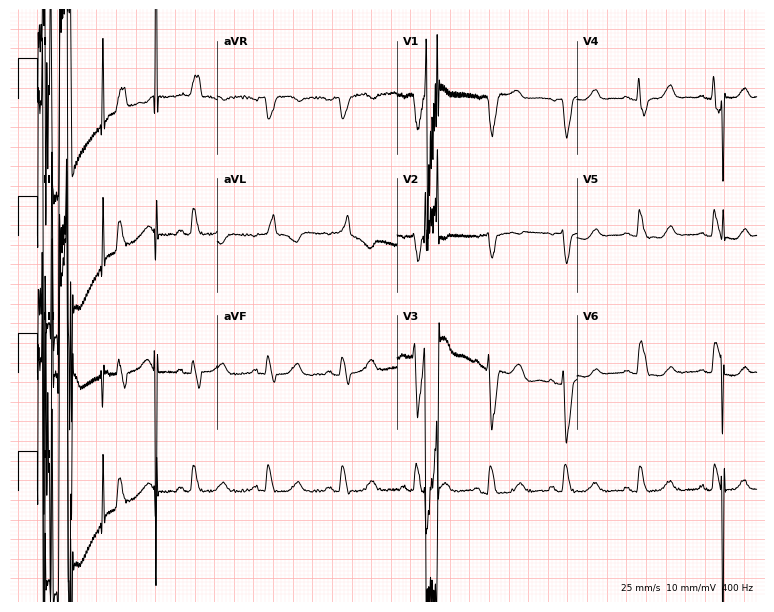
Resting 12-lead electrocardiogram. Patient: an 85-year-old female. The tracing shows atrial fibrillation.